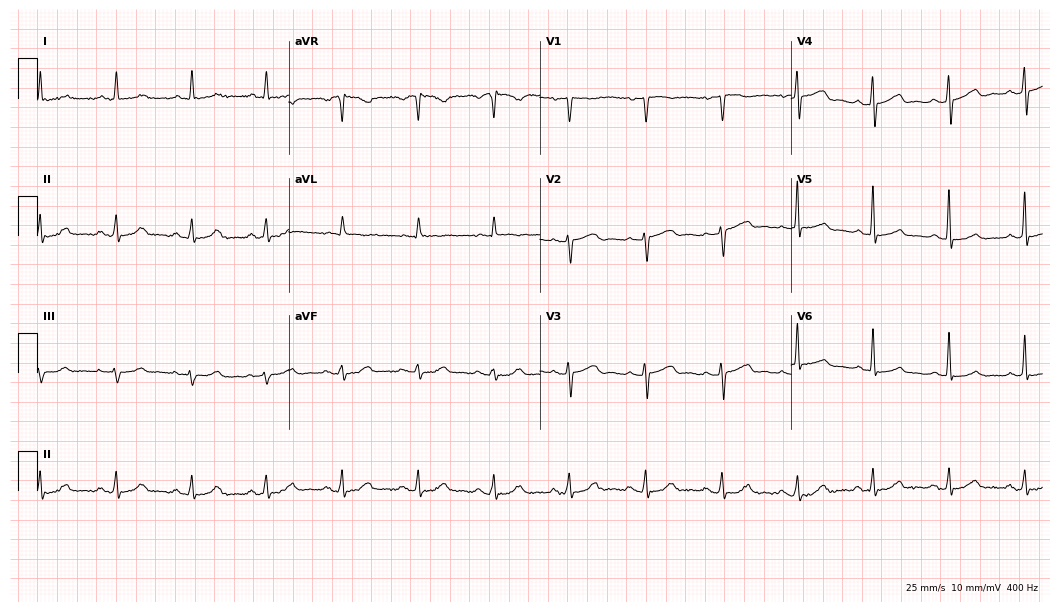
Resting 12-lead electrocardiogram (10.2-second recording at 400 Hz). Patient: a 78-year-old woman. Read as a normal ECG.